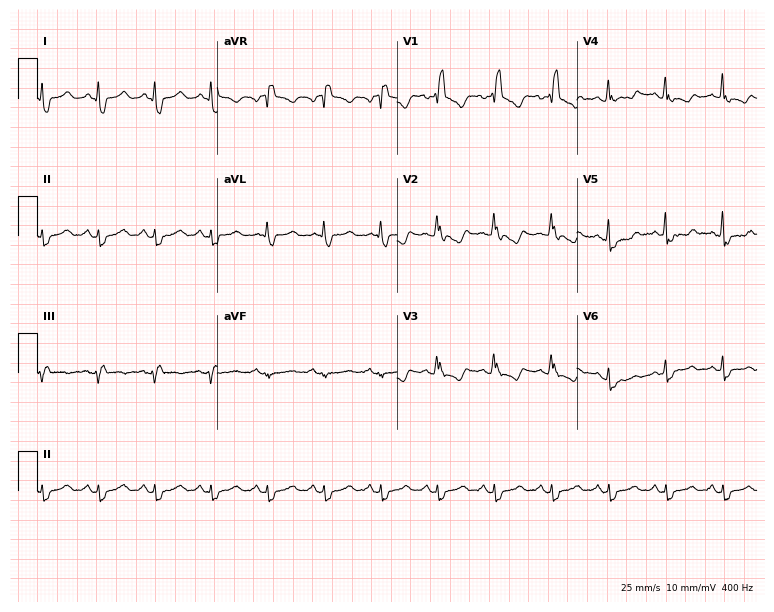
Resting 12-lead electrocardiogram (7.3-second recording at 400 Hz). Patient: a 46-year-old female. The tracing shows sinus tachycardia (a sinus rate of 100 beats per minute or more).